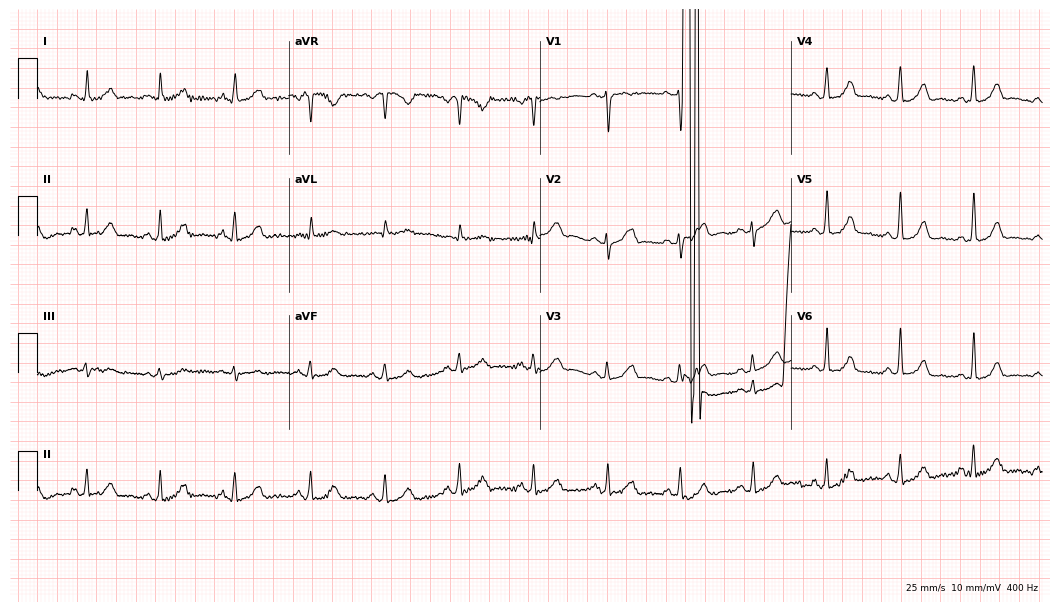
ECG — a 28-year-old female patient. Labelled as a normal ECG.